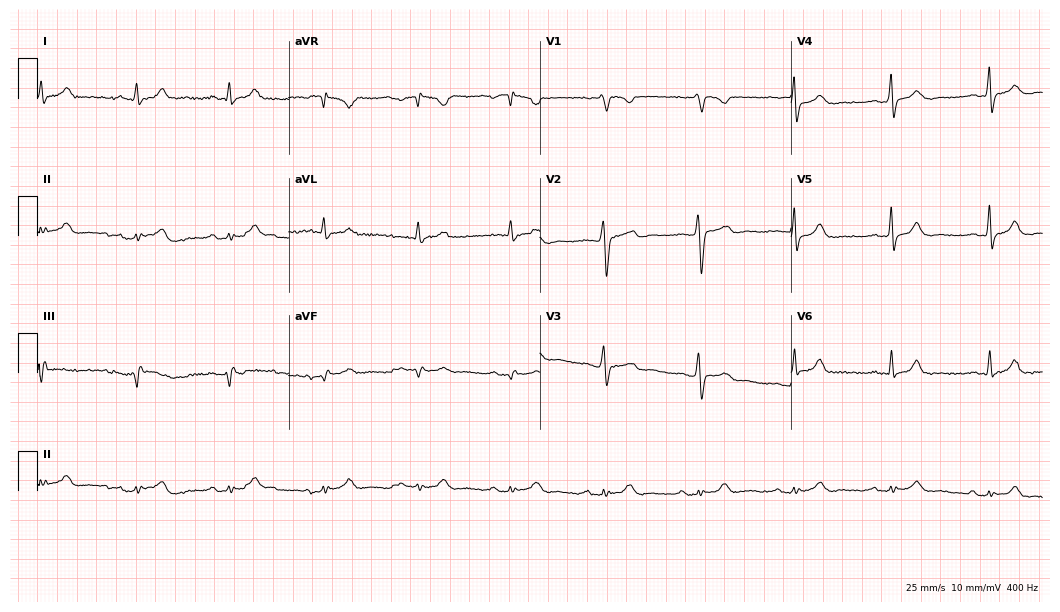
12-lead ECG (10.2-second recording at 400 Hz) from a female patient, 29 years old. Screened for six findings — first-degree AV block, right bundle branch block, left bundle branch block, sinus bradycardia, atrial fibrillation, sinus tachycardia — none is recorded.